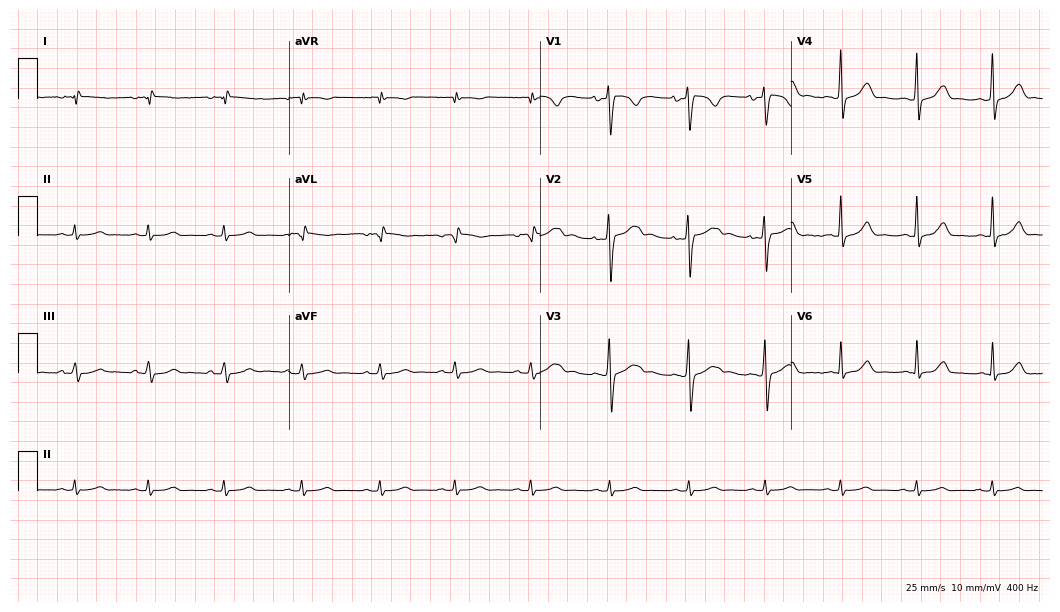
ECG — a woman, 27 years old. Screened for six findings — first-degree AV block, right bundle branch block, left bundle branch block, sinus bradycardia, atrial fibrillation, sinus tachycardia — none is recorded. Findings outside these six are not listed.